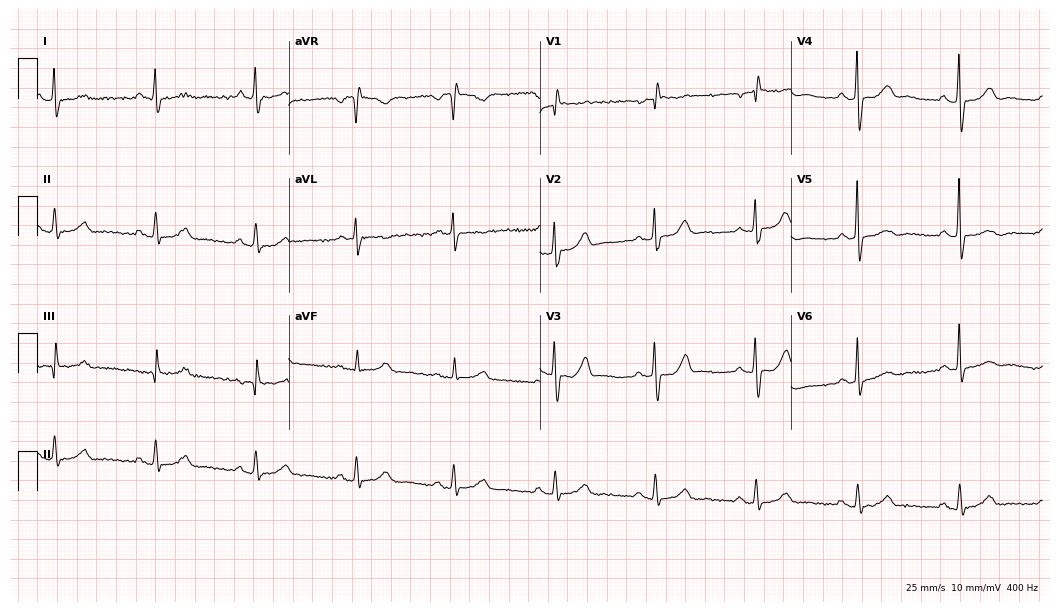
12-lead ECG (10.2-second recording at 400 Hz) from a woman, 52 years old. Screened for six findings — first-degree AV block, right bundle branch block, left bundle branch block, sinus bradycardia, atrial fibrillation, sinus tachycardia — none is recorded. Other findings, if any, are not listed.